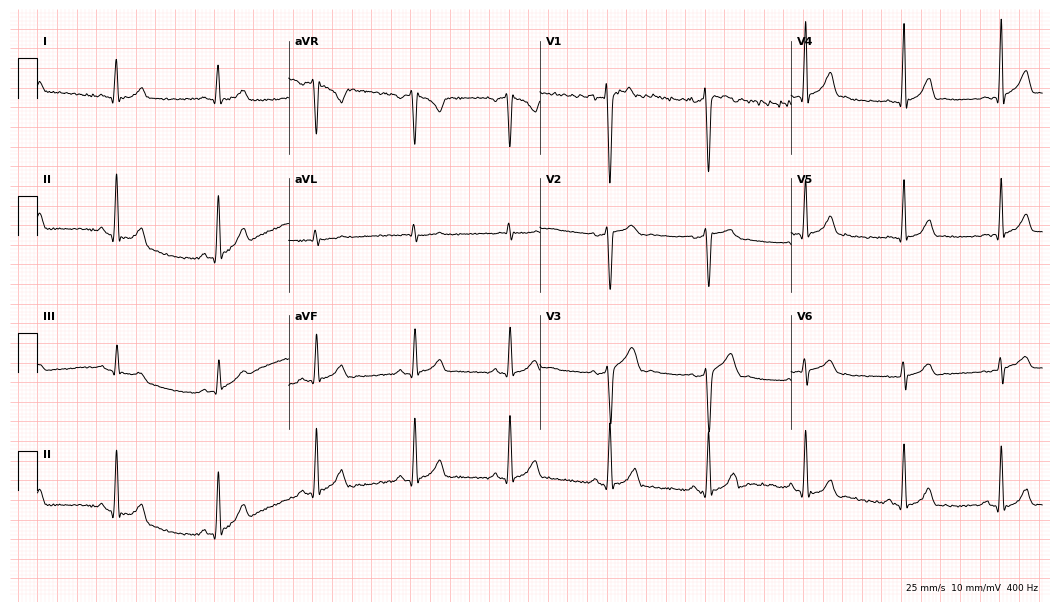
Electrocardiogram (10.2-second recording at 400 Hz), a man, 22 years old. Of the six screened findings (first-degree AV block, right bundle branch block, left bundle branch block, sinus bradycardia, atrial fibrillation, sinus tachycardia), none is recorded. Only these six findings were labelled.